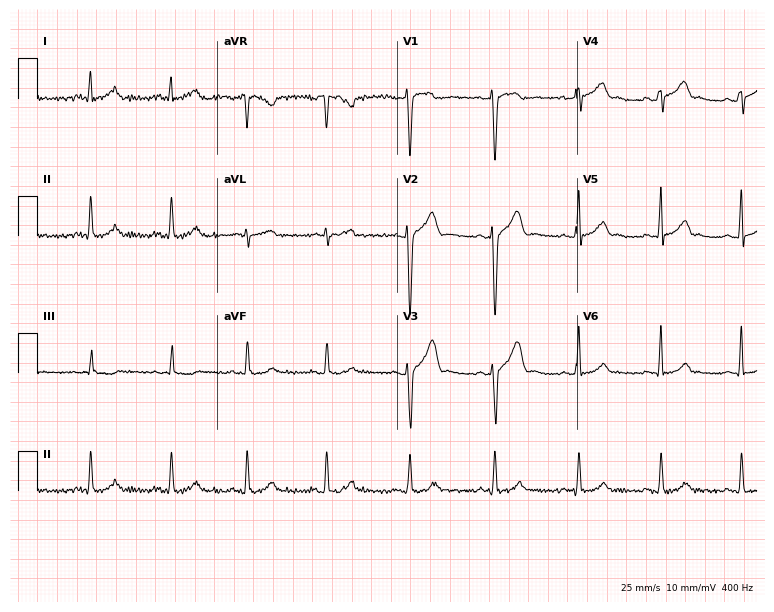
Electrocardiogram (7.3-second recording at 400 Hz), a male, 24 years old. Overall reading on record: normal ECG.